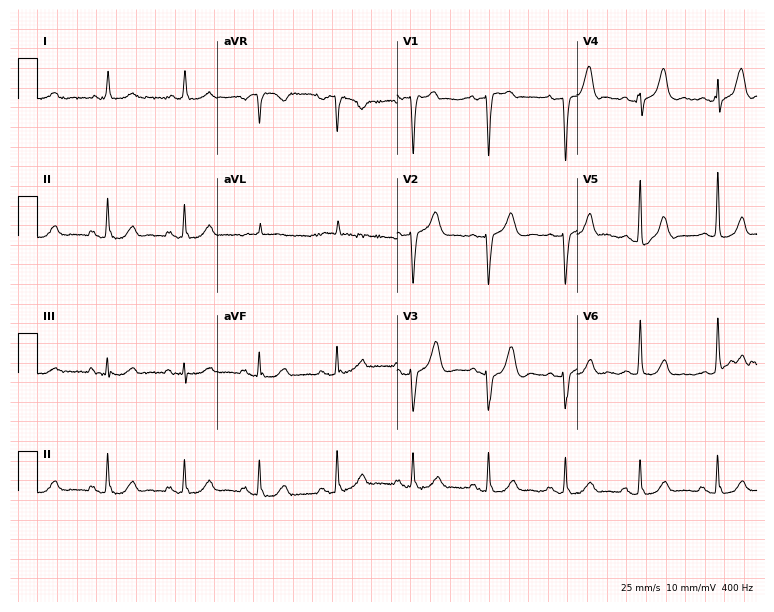
12-lead ECG (7.3-second recording at 400 Hz) from a male patient, 81 years old. Screened for six findings — first-degree AV block, right bundle branch block (RBBB), left bundle branch block (LBBB), sinus bradycardia, atrial fibrillation (AF), sinus tachycardia — none is recorded. Only these six findings were labelled.